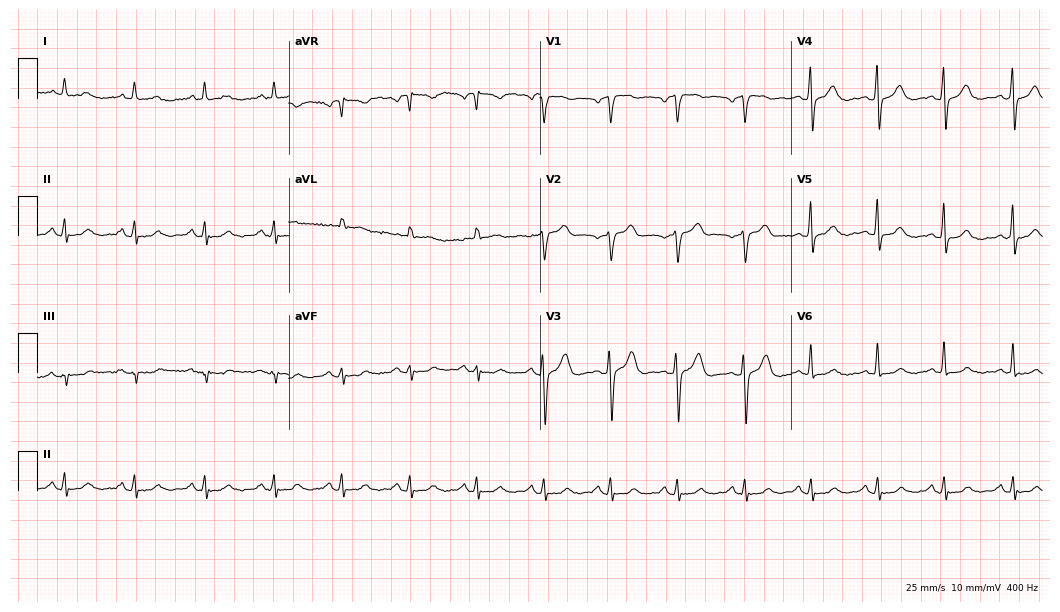
ECG (10.2-second recording at 400 Hz) — a 69-year-old man. Labelled as a normal ECG.